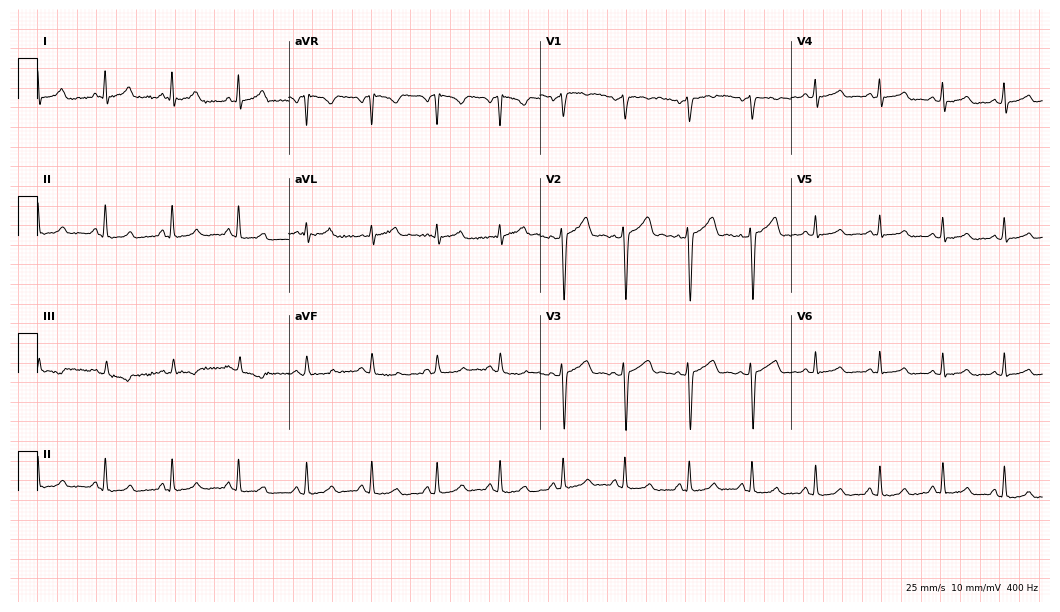
Standard 12-lead ECG recorded from a female patient, 18 years old. Read as a normal ECG.